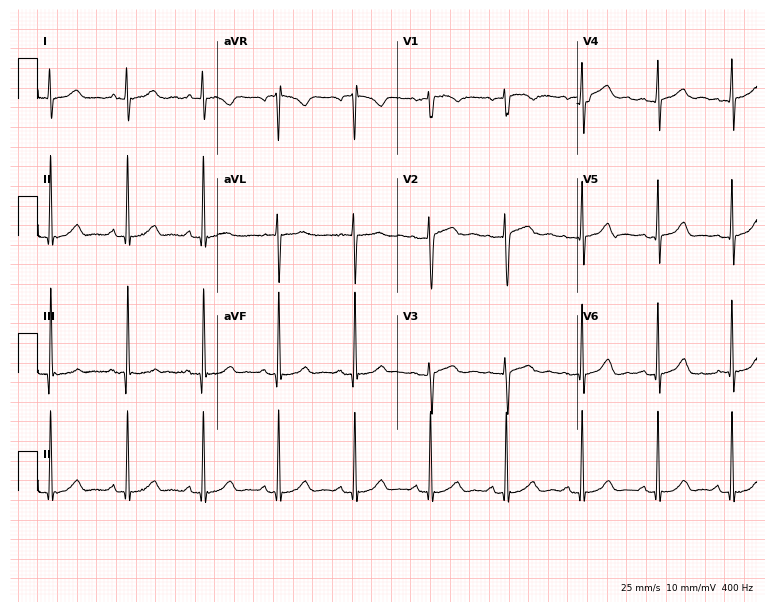
Electrocardiogram, a 49-year-old female. Overall reading on record: normal ECG.